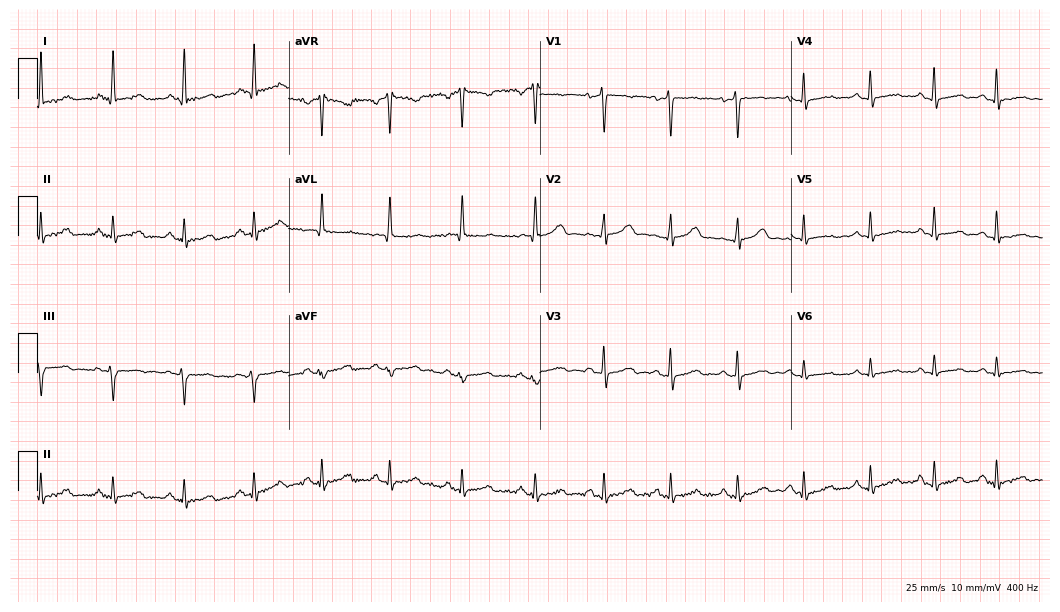
12-lead ECG from a 56-year-old female. No first-degree AV block, right bundle branch block, left bundle branch block, sinus bradycardia, atrial fibrillation or sinus tachycardia recorded for this tracing. Findings outside these six are not listed.